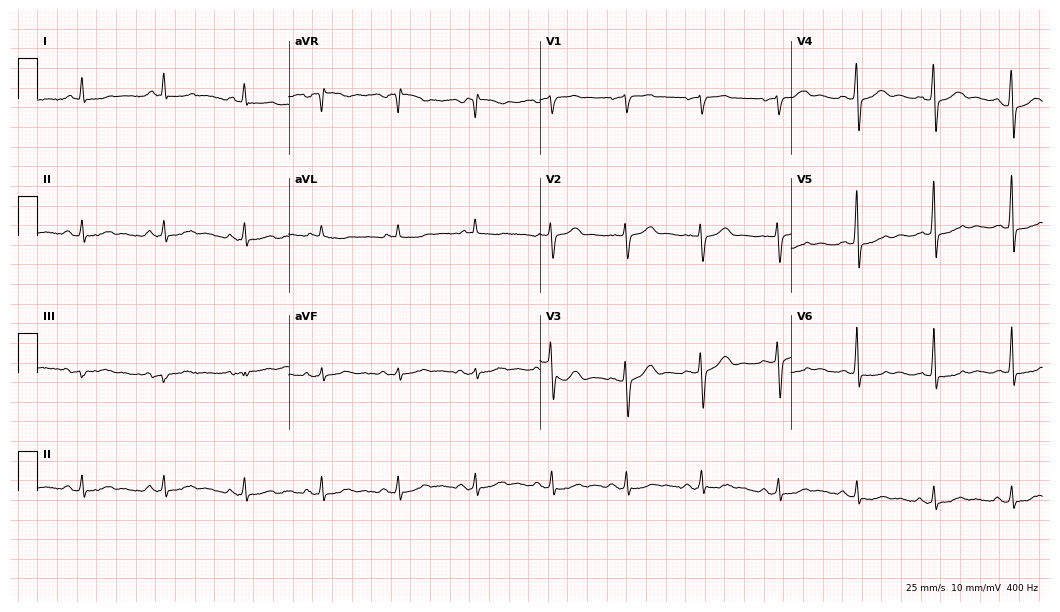
12-lead ECG from a 64-year-old male. Screened for six findings — first-degree AV block, right bundle branch block (RBBB), left bundle branch block (LBBB), sinus bradycardia, atrial fibrillation (AF), sinus tachycardia — none is recorded.